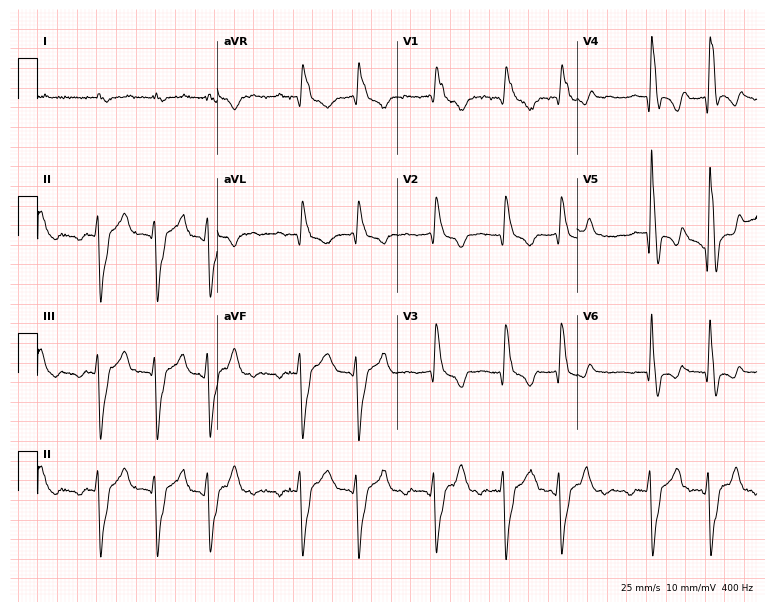
12-lead ECG from a female patient, 87 years old. Shows right bundle branch block, atrial fibrillation.